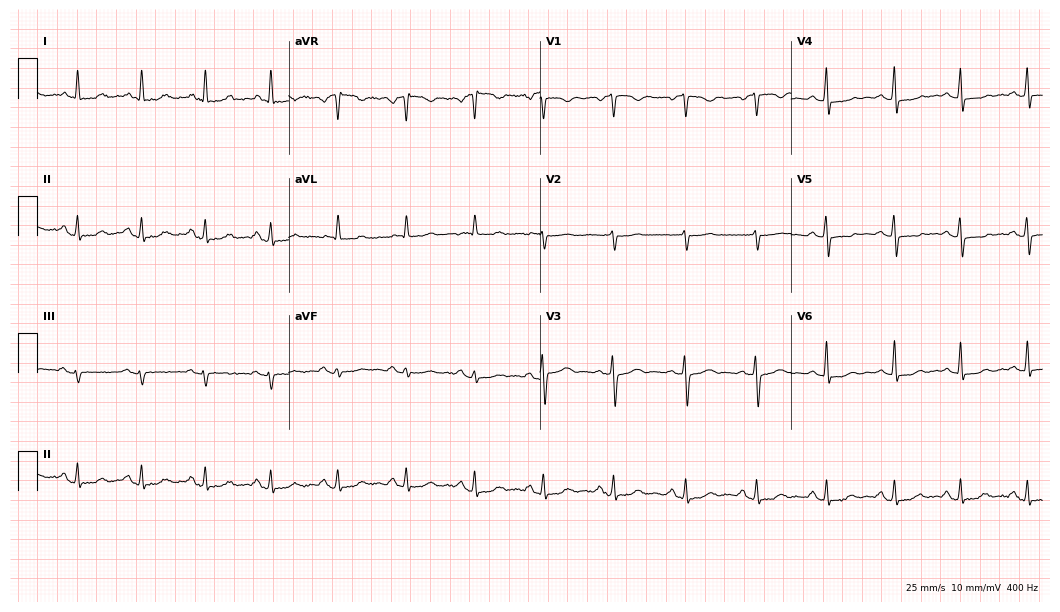
Resting 12-lead electrocardiogram (10.2-second recording at 400 Hz). Patient: a female, 51 years old. None of these six findings is recorded: first-degree AV block, right bundle branch block, left bundle branch block, sinus bradycardia, atrial fibrillation, sinus tachycardia. Other findings, if any, are not listed.